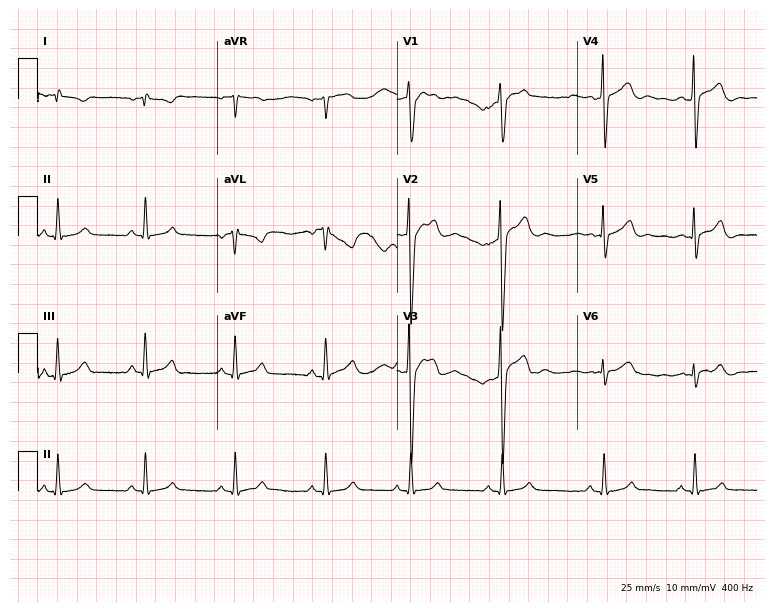
ECG (7.3-second recording at 400 Hz) — a 17-year-old man. Screened for six findings — first-degree AV block, right bundle branch block, left bundle branch block, sinus bradycardia, atrial fibrillation, sinus tachycardia — none is recorded.